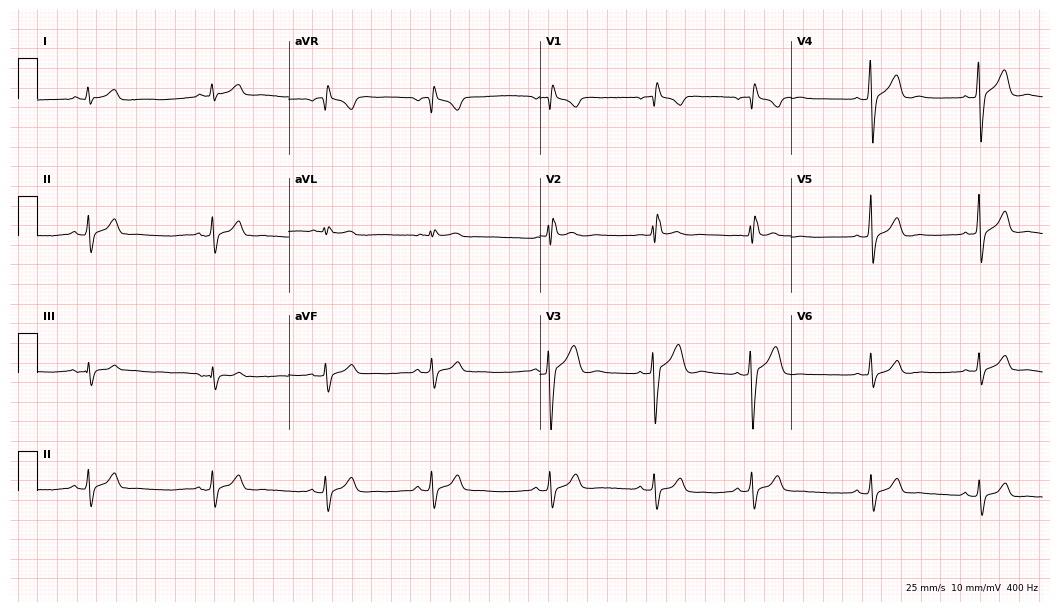
12-lead ECG from a 25-year-old man. Screened for six findings — first-degree AV block, right bundle branch block (RBBB), left bundle branch block (LBBB), sinus bradycardia, atrial fibrillation (AF), sinus tachycardia — none is recorded. Findings outside these six are not listed.